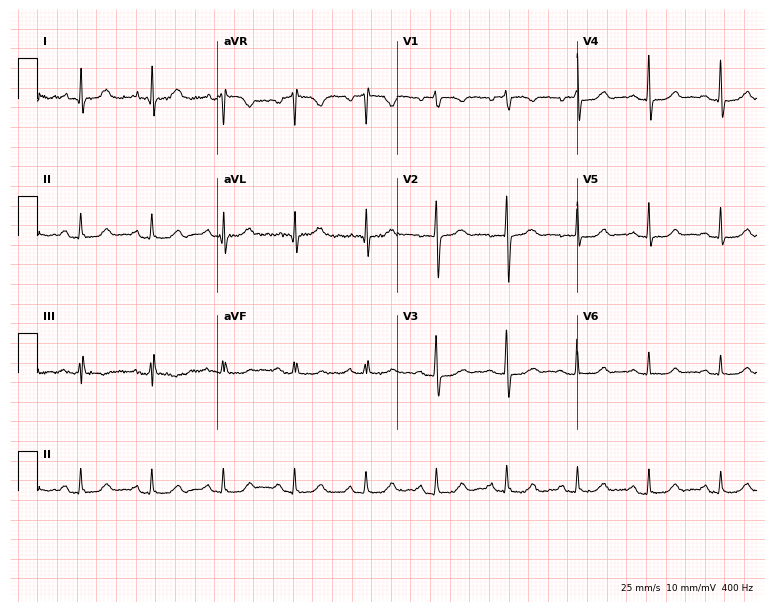
Resting 12-lead electrocardiogram (7.3-second recording at 400 Hz). Patient: a 61-year-old female. Read as a normal ECG.